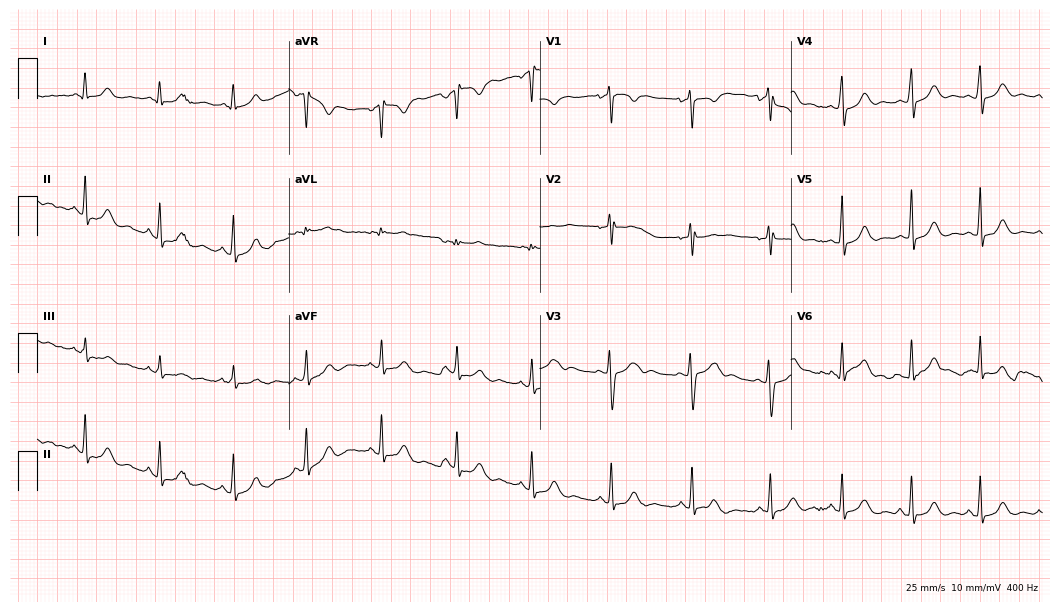
12-lead ECG from a 32-year-old woman. Recorded interpretation: within normal limits.